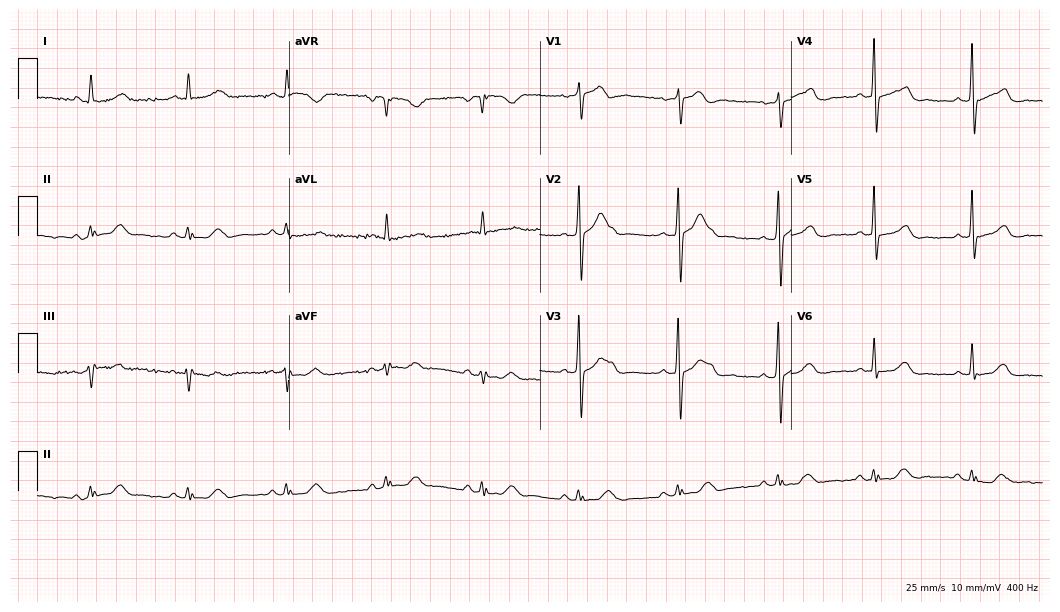
Electrocardiogram (10.2-second recording at 400 Hz), a female, 66 years old. Overall reading on record: normal ECG.